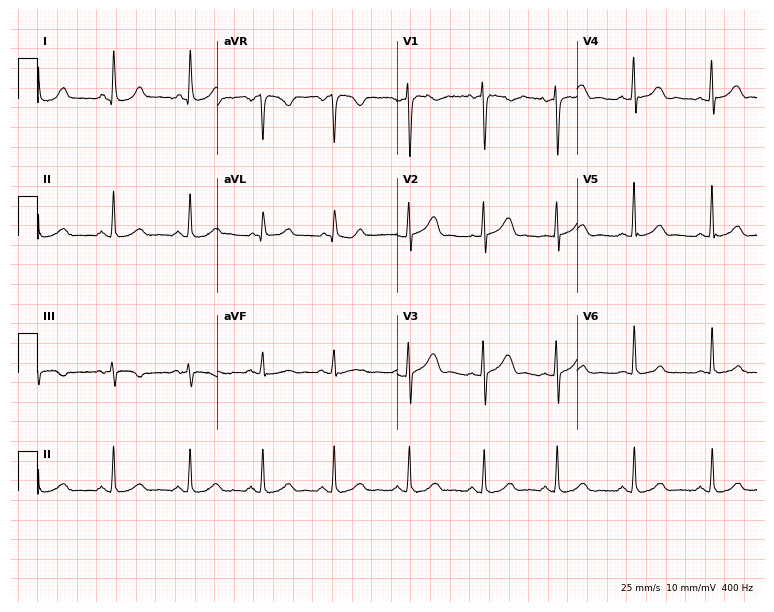
Standard 12-lead ECG recorded from a female patient, 50 years old. Read as a normal ECG.